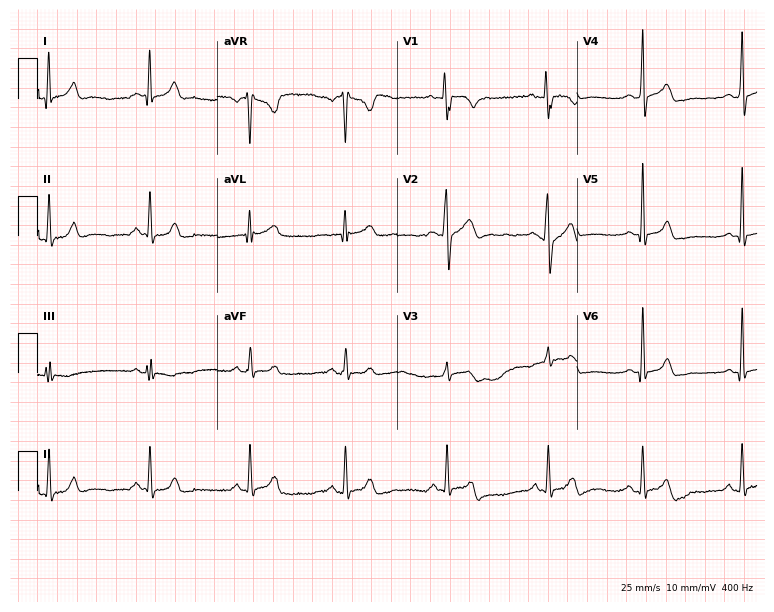
Electrocardiogram, a man, 34 years old. Overall reading on record: normal ECG.